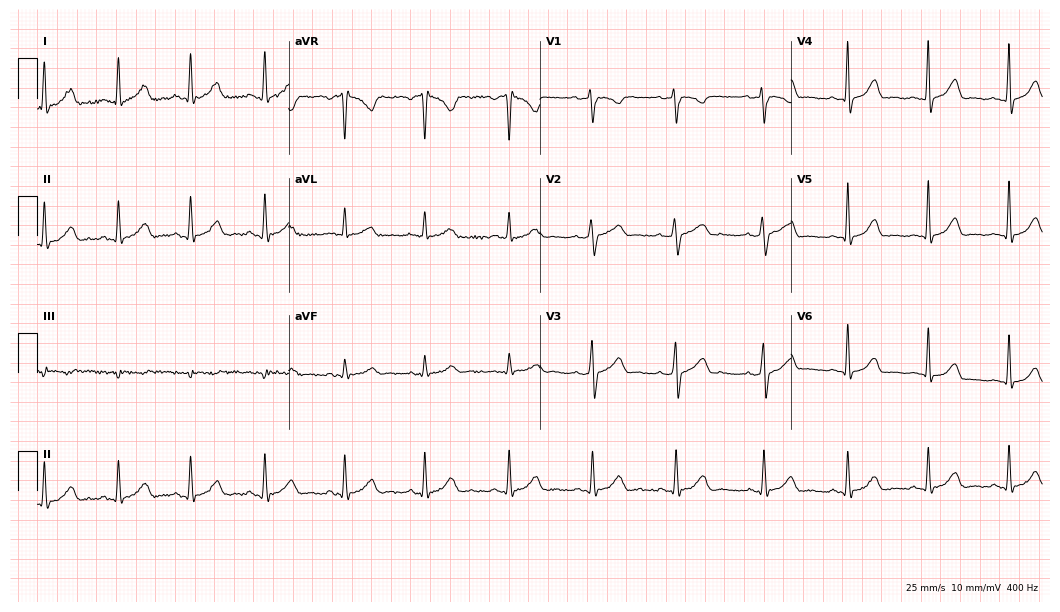
Standard 12-lead ECG recorded from a female, 27 years old (10.2-second recording at 400 Hz). Read as a normal ECG.